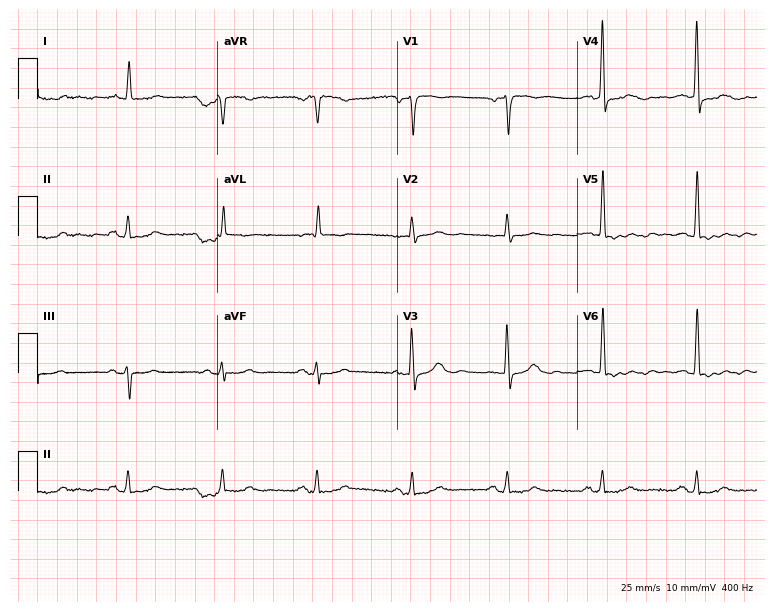
12-lead ECG (7.3-second recording at 400 Hz) from a male patient, 84 years old. Labelled as a normal ECG.